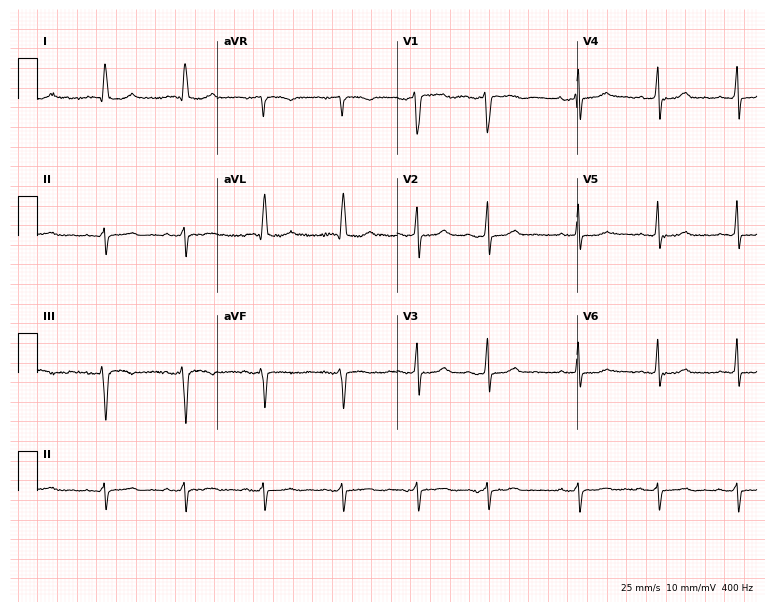
ECG — a female, 84 years old. Screened for six findings — first-degree AV block, right bundle branch block (RBBB), left bundle branch block (LBBB), sinus bradycardia, atrial fibrillation (AF), sinus tachycardia — none is recorded.